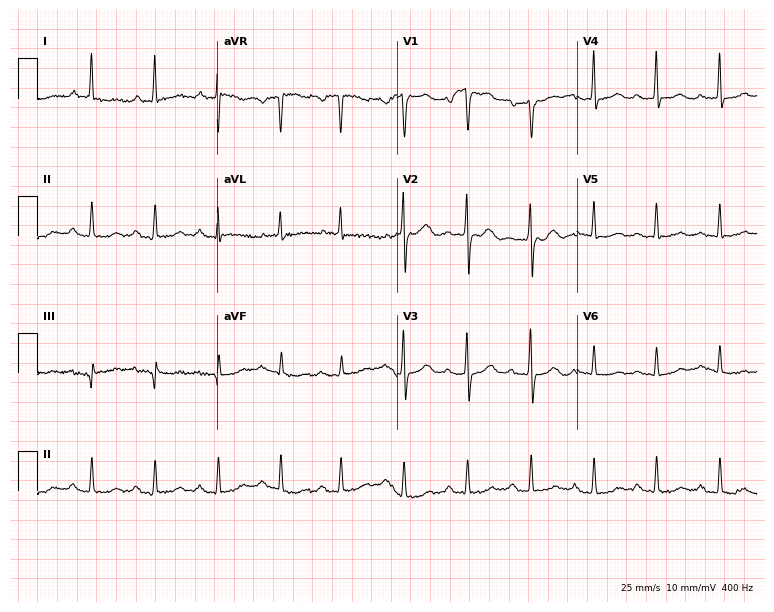
Resting 12-lead electrocardiogram. Patient: a 76-year-old female. None of these six findings is recorded: first-degree AV block, right bundle branch block, left bundle branch block, sinus bradycardia, atrial fibrillation, sinus tachycardia. Only these six findings were labelled.